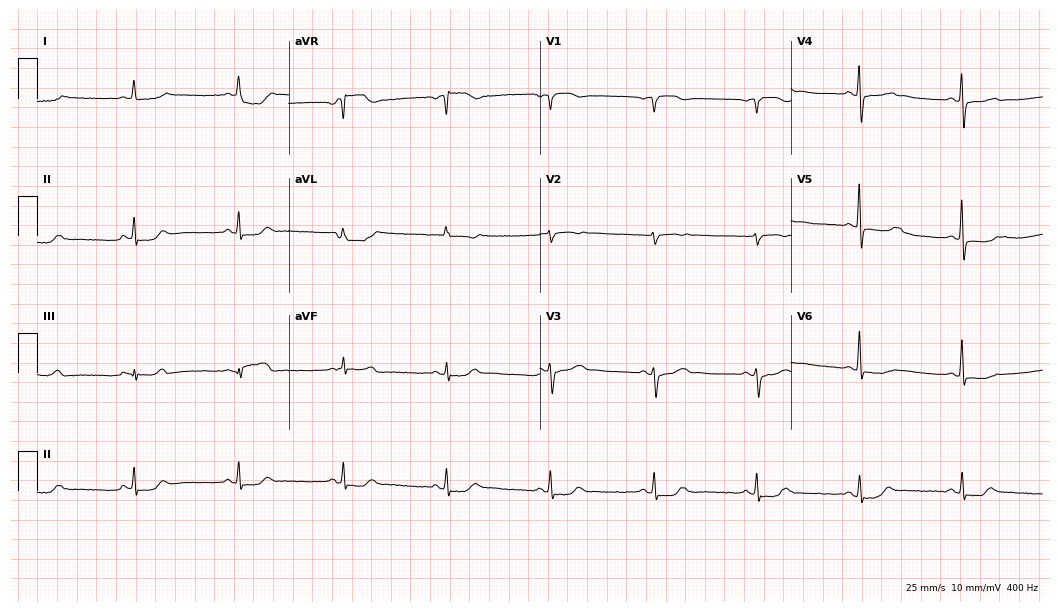
Resting 12-lead electrocardiogram. Patient: a woman, 72 years old. None of these six findings is recorded: first-degree AV block, right bundle branch block, left bundle branch block, sinus bradycardia, atrial fibrillation, sinus tachycardia. Other findings, if any, are not listed.